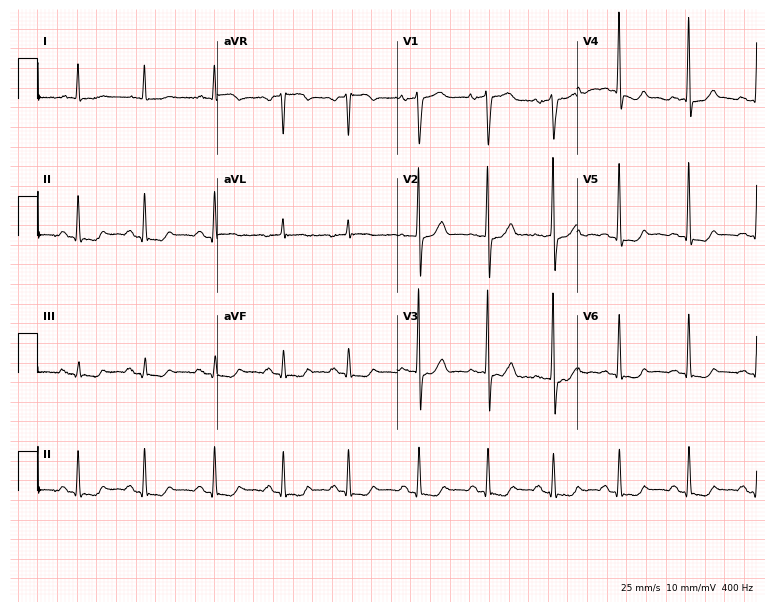
Standard 12-lead ECG recorded from an 82-year-old female patient. None of these six findings is recorded: first-degree AV block, right bundle branch block (RBBB), left bundle branch block (LBBB), sinus bradycardia, atrial fibrillation (AF), sinus tachycardia.